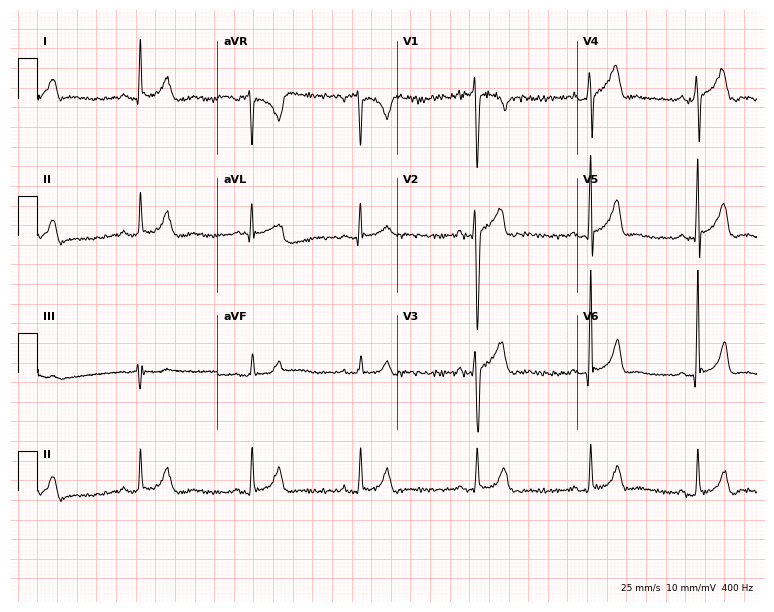
Standard 12-lead ECG recorded from a male, 29 years old (7.3-second recording at 400 Hz). Read as a normal ECG.